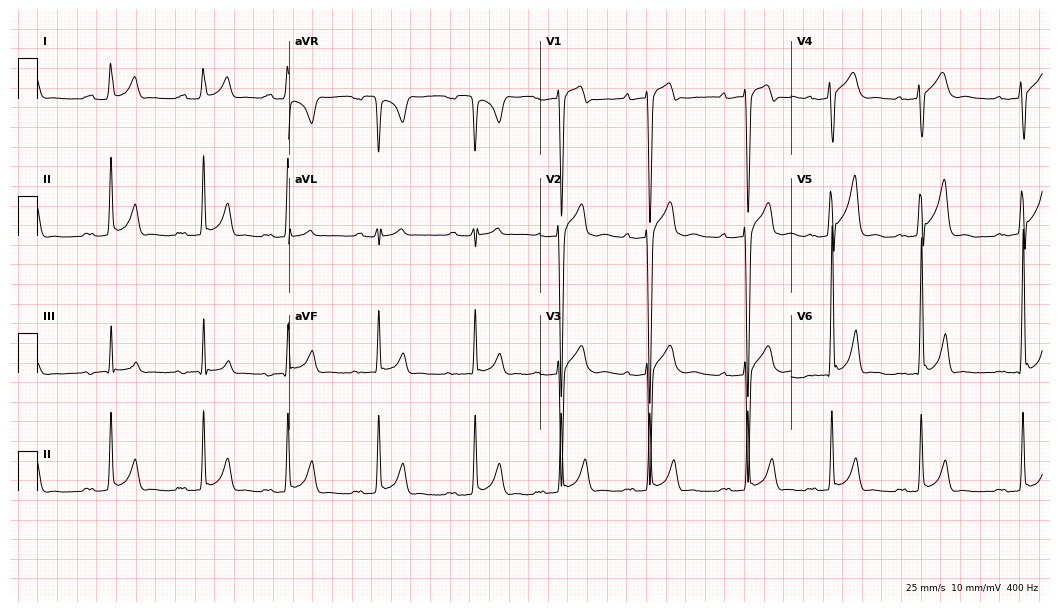
Standard 12-lead ECG recorded from a male patient, 25 years old (10.2-second recording at 400 Hz). The tracing shows first-degree AV block.